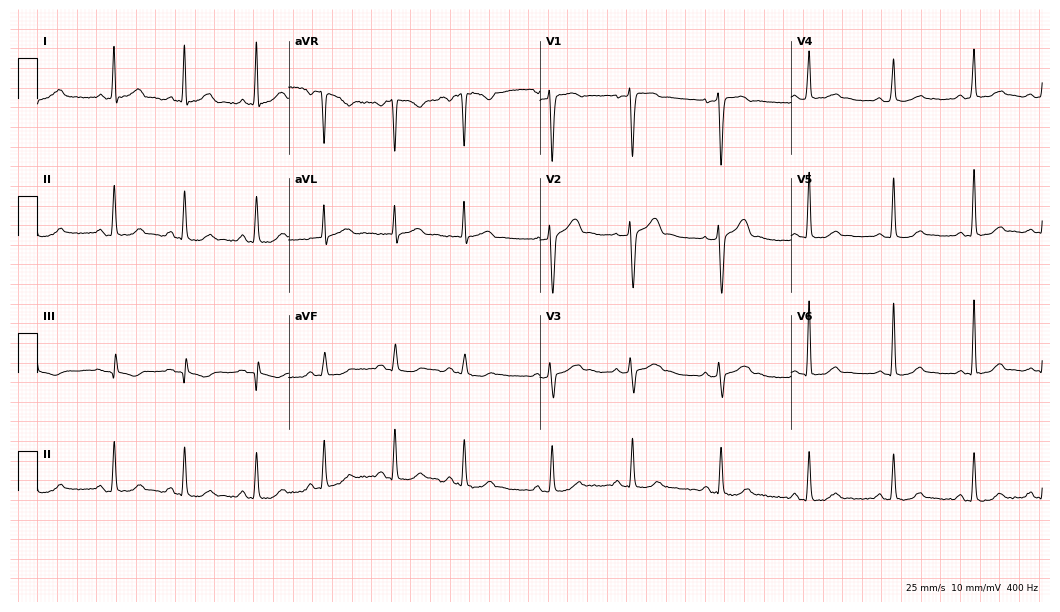
ECG (10.2-second recording at 400 Hz) — a male, 34 years old. Labelled as a normal ECG.